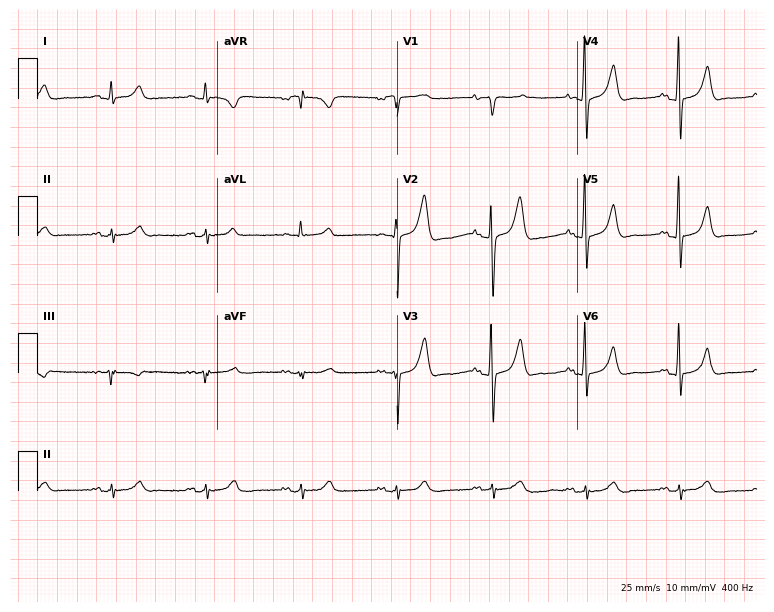
Electrocardiogram, a 67-year-old male patient. Of the six screened findings (first-degree AV block, right bundle branch block, left bundle branch block, sinus bradycardia, atrial fibrillation, sinus tachycardia), none is recorded.